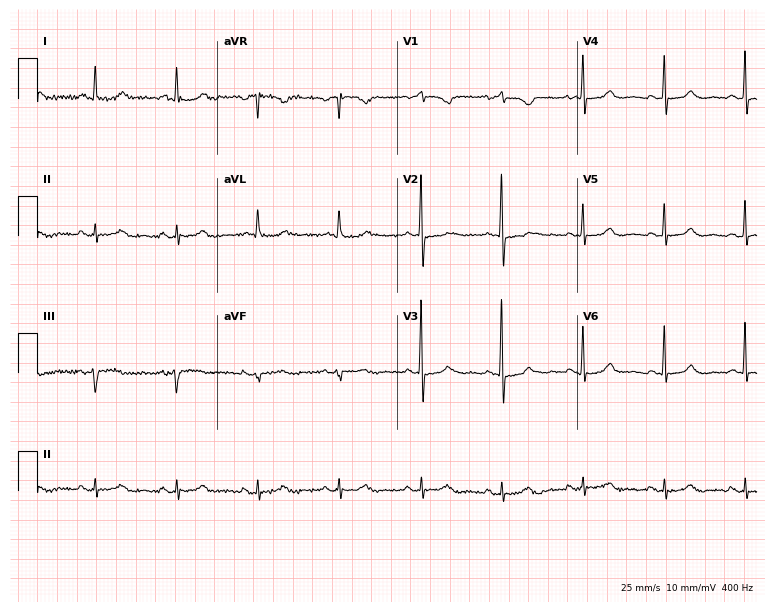
Resting 12-lead electrocardiogram. Patient: an 83-year-old woman. None of these six findings is recorded: first-degree AV block, right bundle branch block, left bundle branch block, sinus bradycardia, atrial fibrillation, sinus tachycardia. Other findings, if any, are not listed.